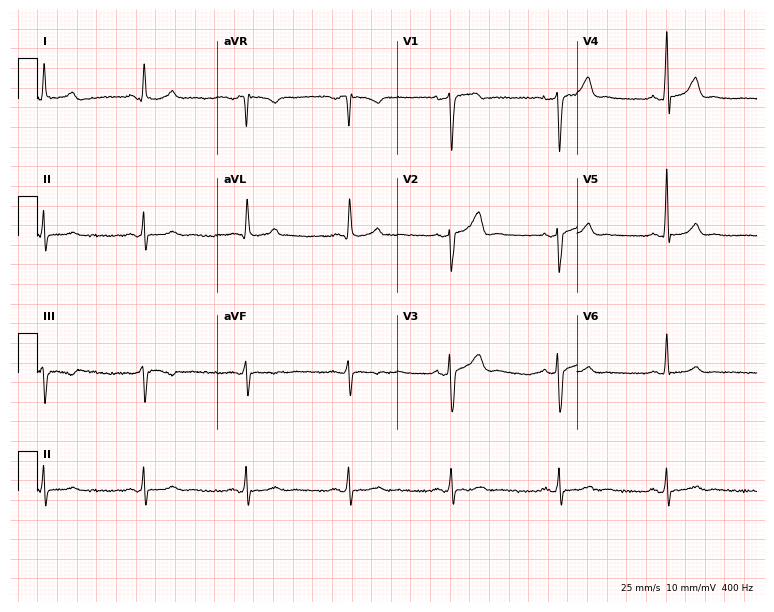
12-lead ECG from a man, 55 years old (7.3-second recording at 400 Hz). Recorded interpretation: within normal limits.